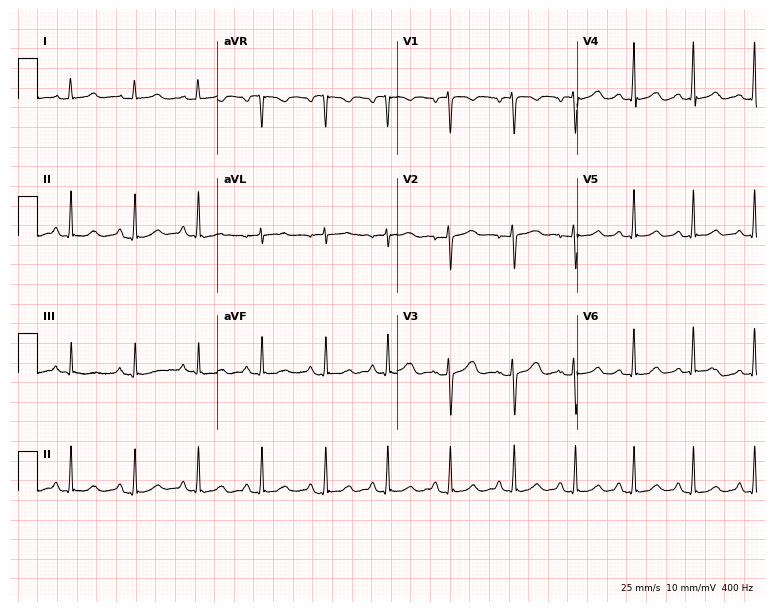
12-lead ECG from a female patient, 30 years old. Recorded interpretation: within normal limits.